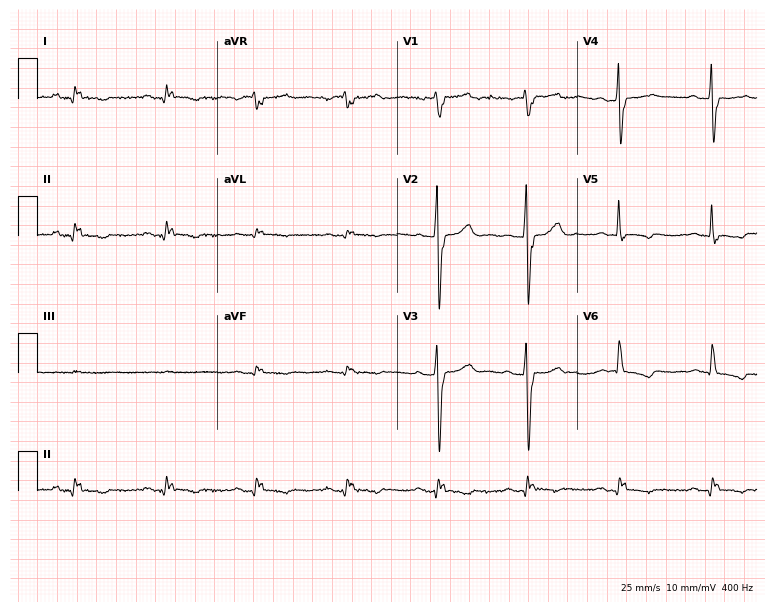
Electrocardiogram, an 80-year-old male. Of the six screened findings (first-degree AV block, right bundle branch block (RBBB), left bundle branch block (LBBB), sinus bradycardia, atrial fibrillation (AF), sinus tachycardia), none is recorded.